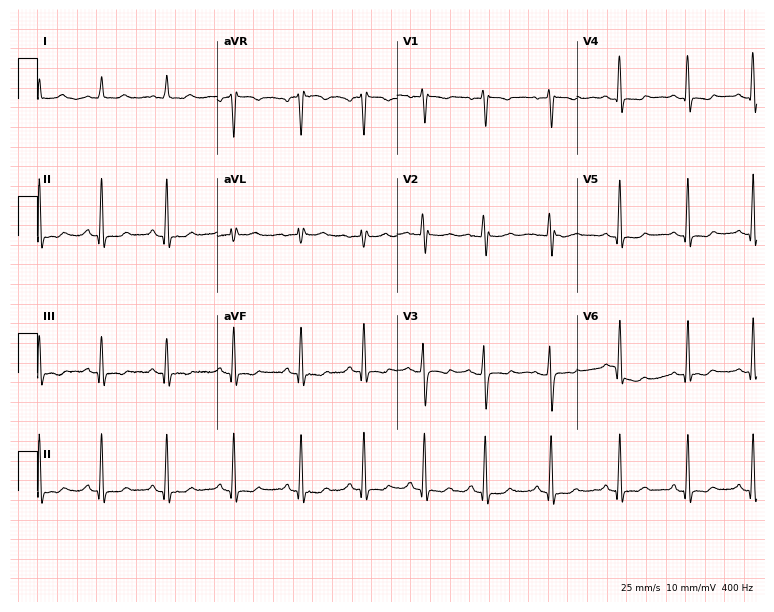
12-lead ECG from a female, 32 years old (7.3-second recording at 400 Hz). Recorded interpretation: within normal limits.